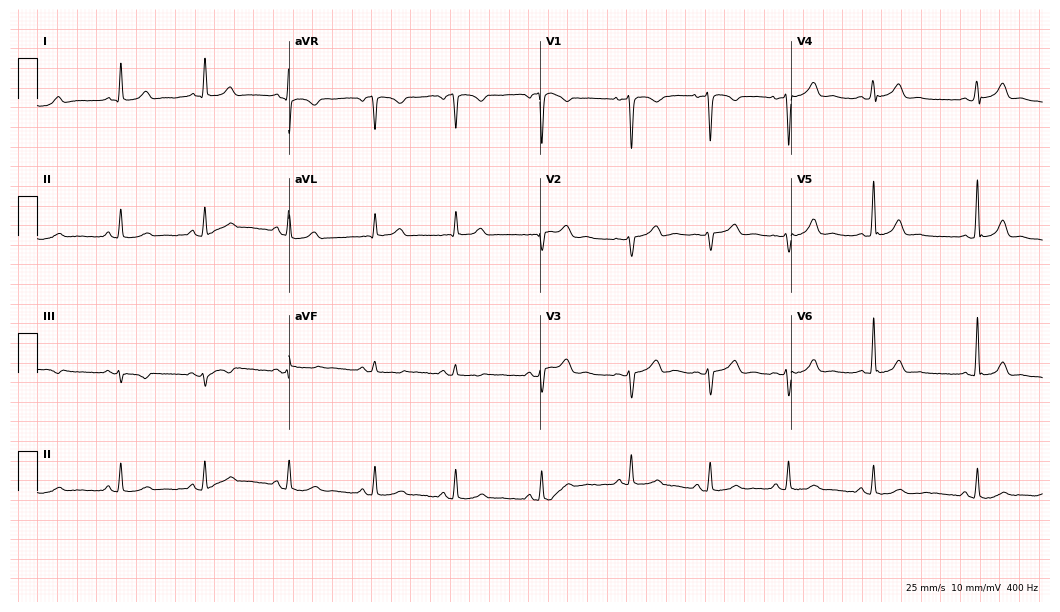
12-lead ECG from a 28-year-old woman (10.2-second recording at 400 Hz). Recorded interpretation: within normal limits.